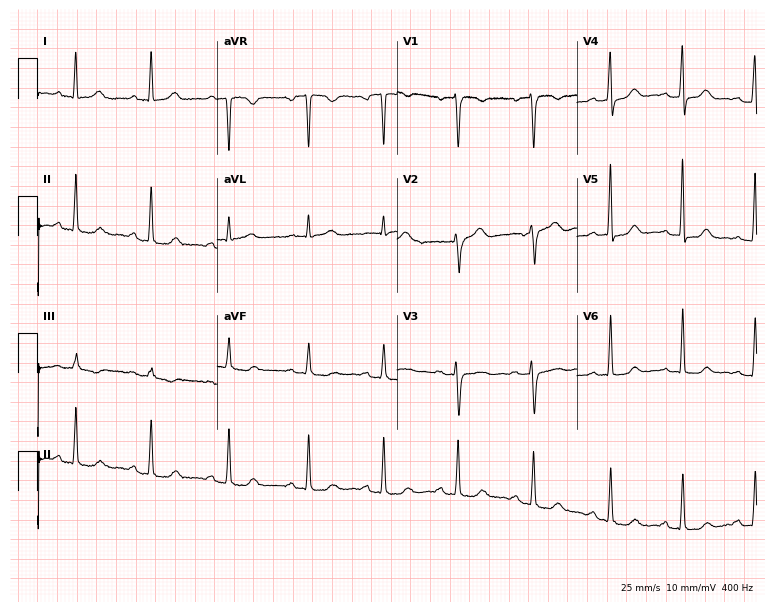
ECG (7.3-second recording at 400 Hz) — a woman, 47 years old. Labelled as a normal ECG.